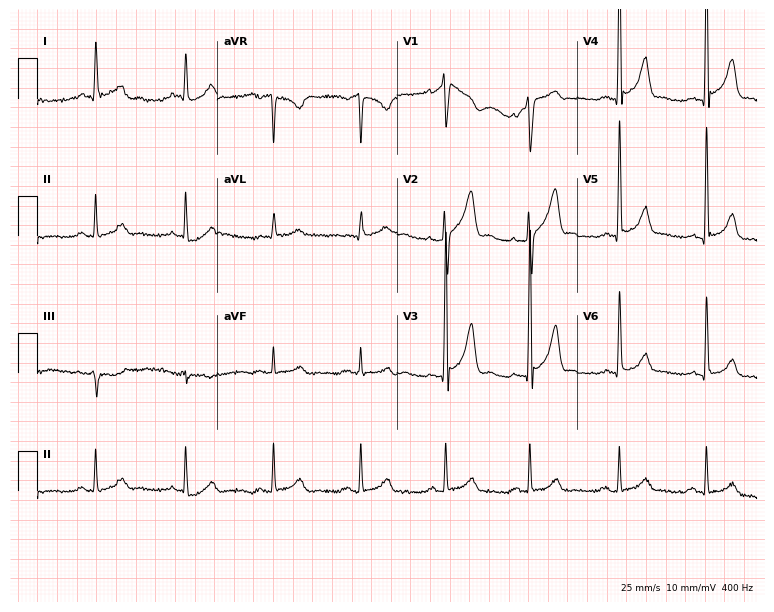
ECG — a 61-year-old man. Screened for six findings — first-degree AV block, right bundle branch block (RBBB), left bundle branch block (LBBB), sinus bradycardia, atrial fibrillation (AF), sinus tachycardia — none is recorded.